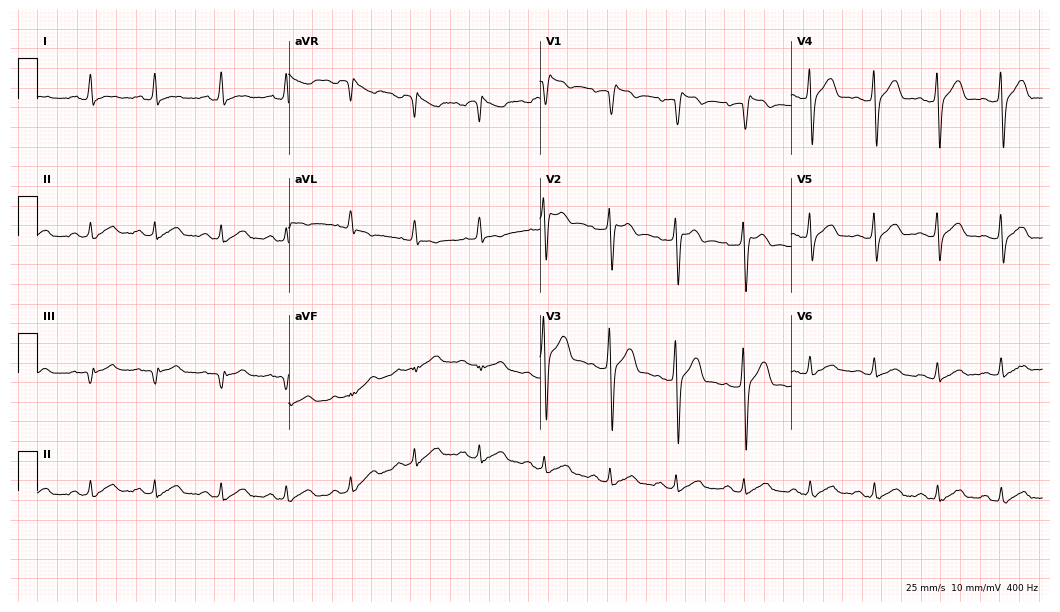
ECG — a male, 40 years old. Screened for six findings — first-degree AV block, right bundle branch block, left bundle branch block, sinus bradycardia, atrial fibrillation, sinus tachycardia — none is recorded.